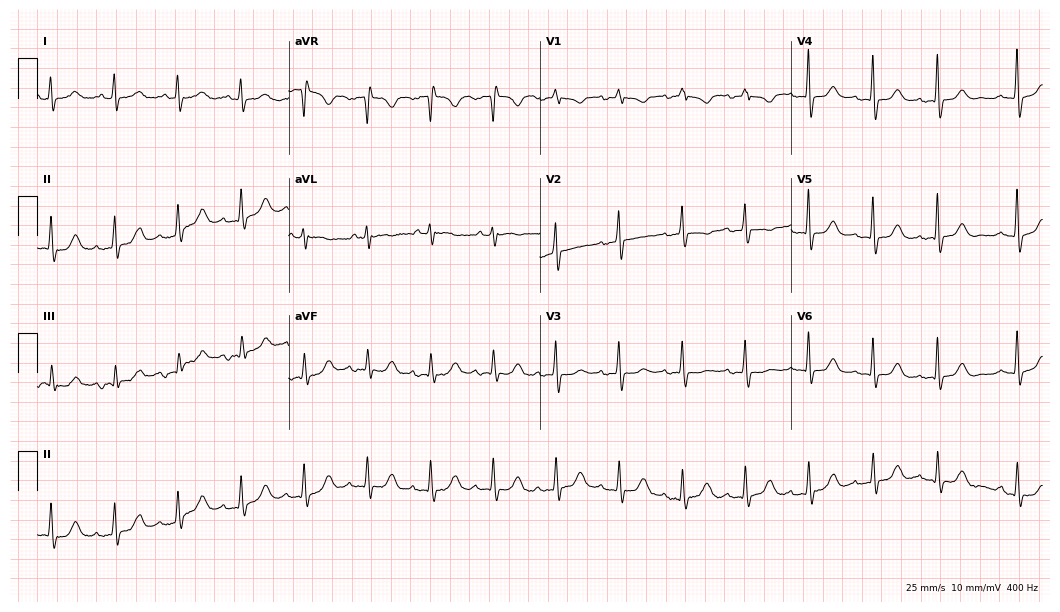
ECG (10.2-second recording at 400 Hz) — a female patient, 80 years old. Screened for six findings — first-degree AV block, right bundle branch block, left bundle branch block, sinus bradycardia, atrial fibrillation, sinus tachycardia — none is recorded.